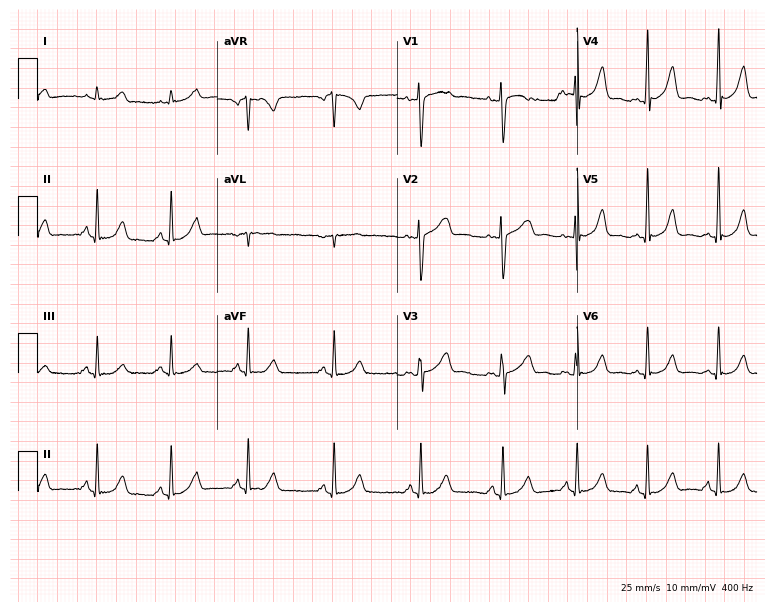
Electrocardiogram (7.3-second recording at 400 Hz), a 22-year-old female. Overall reading on record: normal ECG.